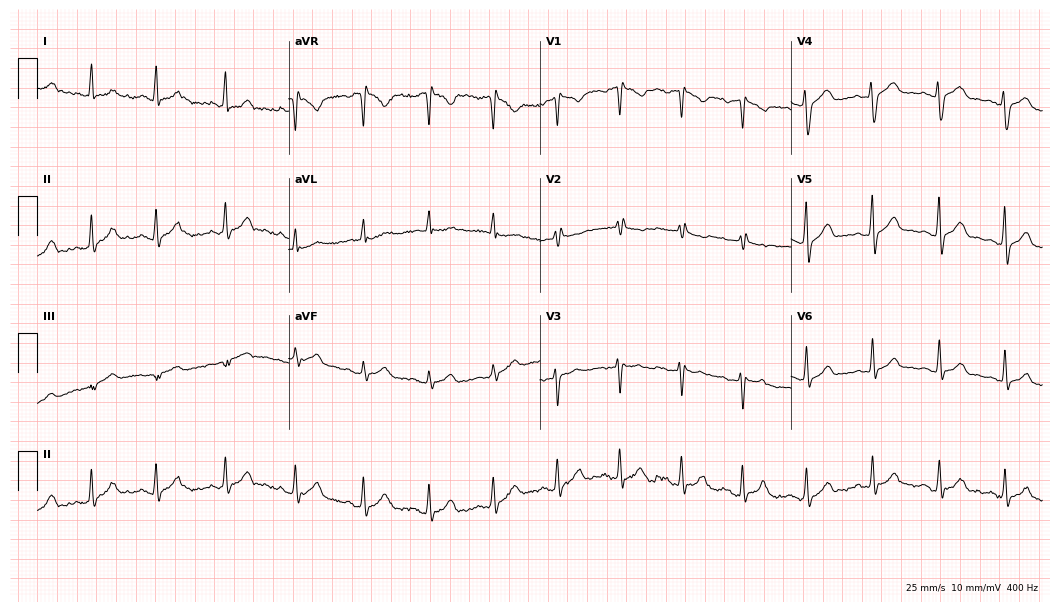
ECG — a man, 37 years old. Screened for six findings — first-degree AV block, right bundle branch block (RBBB), left bundle branch block (LBBB), sinus bradycardia, atrial fibrillation (AF), sinus tachycardia — none is recorded. Only these six findings were labelled.